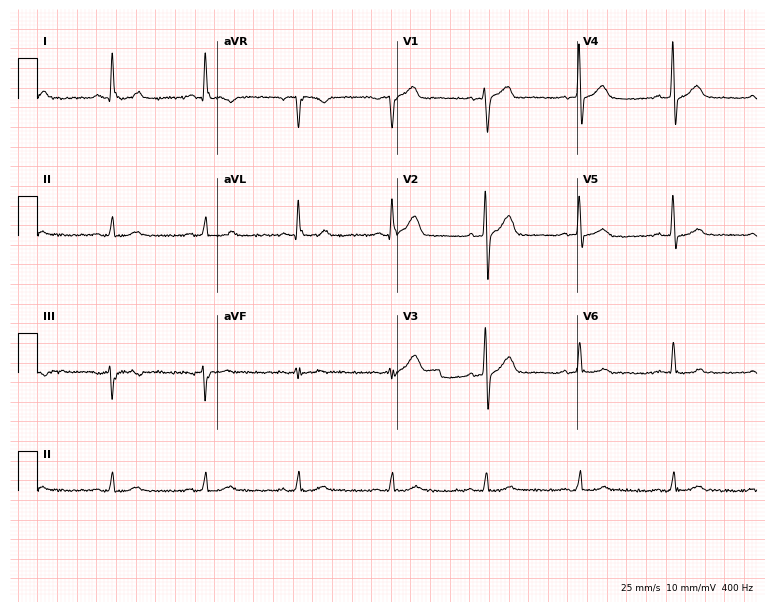
Standard 12-lead ECG recorded from a 69-year-old man. Read as a normal ECG.